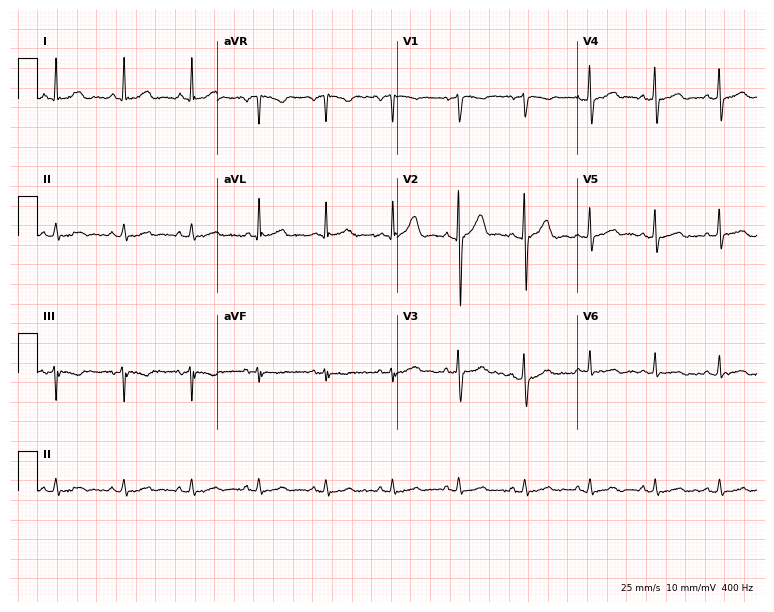
ECG — a 48-year-old male. Labelled as a normal ECG.